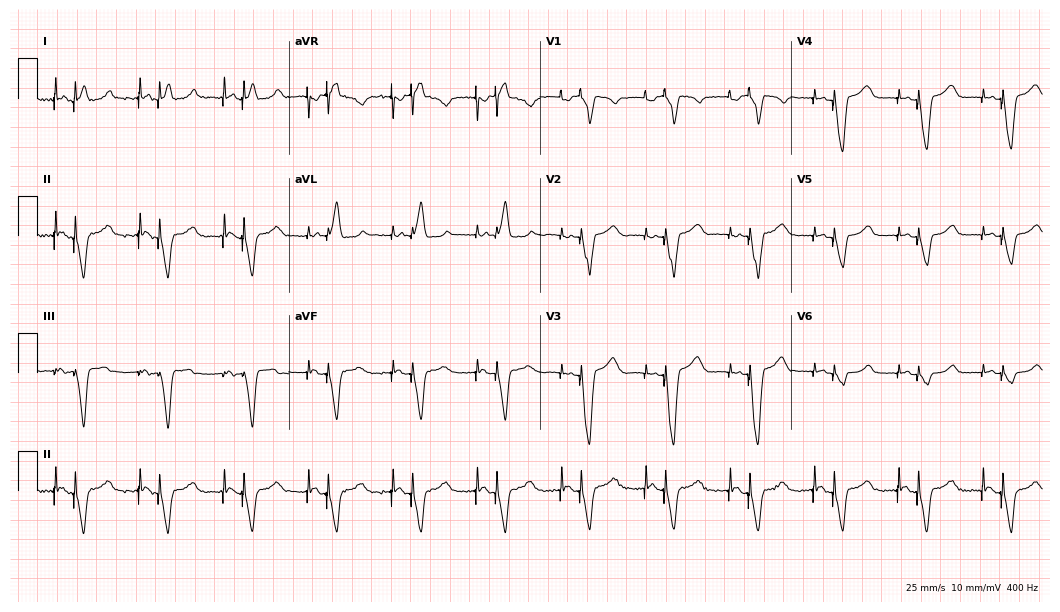
12-lead ECG (10.2-second recording at 400 Hz) from a man, 51 years old. Screened for six findings — first-degree AV block, right bundle branch block (RBBB), left bundle branch block (LBBB), sinus bradycardia, atrial fibrillation (AF), sinus tachycardia — none is recorded. Findings outside these six are not listed.